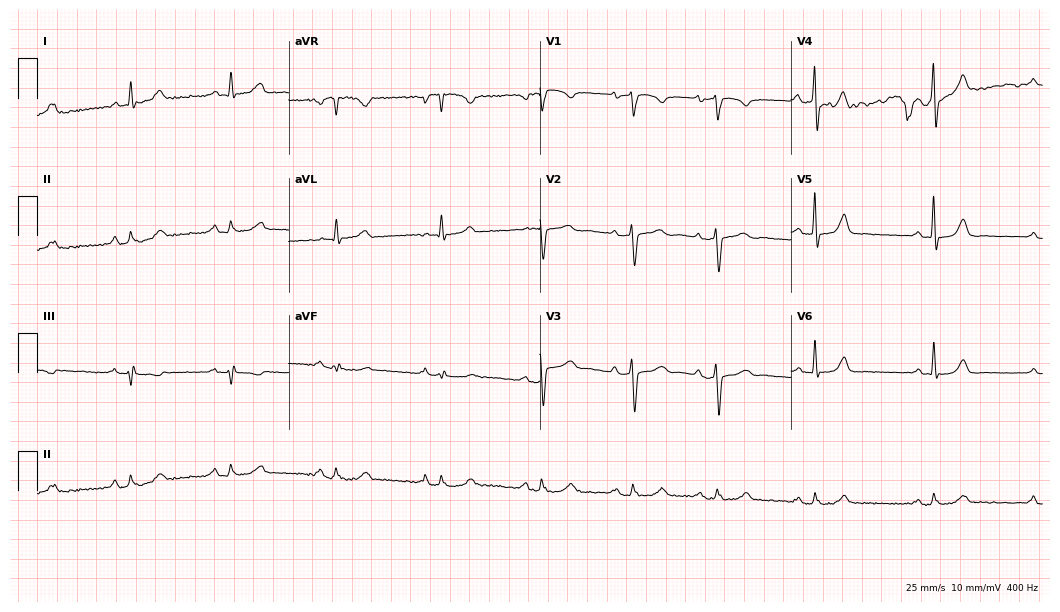
ECG (10.2-second recording at 400 Hz) — a 75-year-old male. Labelled as a normal ECG.